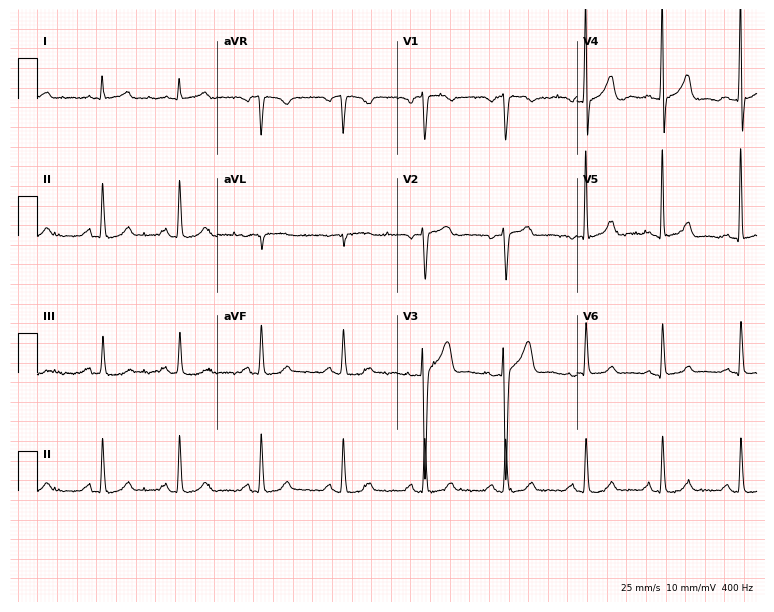
Standard 12-lead ECG recorded from a 72-year-old male patient (7.3-second recording at 400 Hz). Read as a normal ECG.